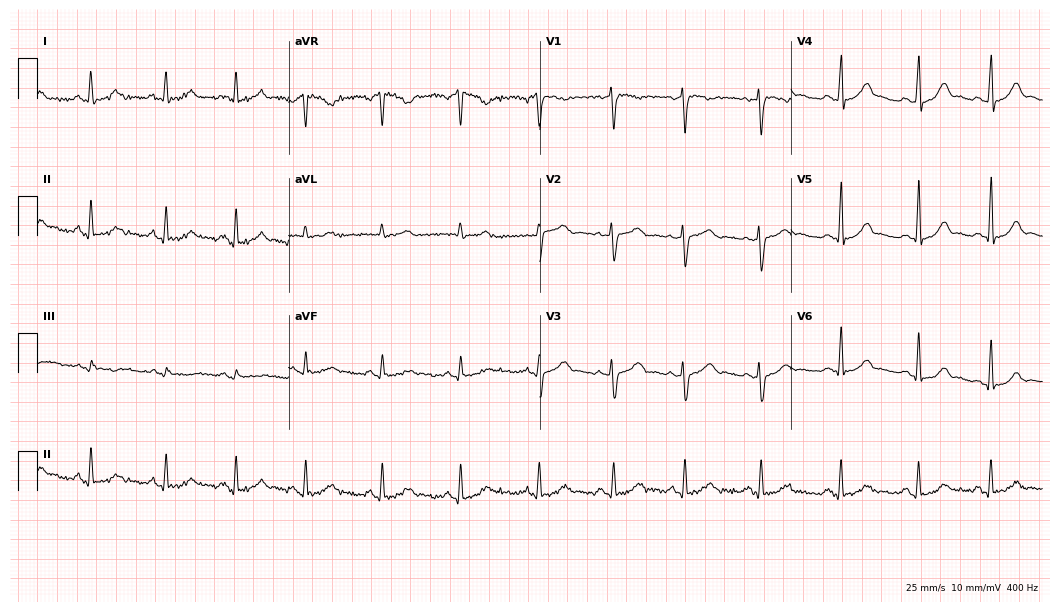
12-lead ECG from a female patient, 30 years old. Screened for six findings — first-degree AV block, right bundle branch block, left bundle branch block, sinus bradycardia, atrial fibrillation, sinus tachycardia — none is recorded. Findings outside these six are not listed.